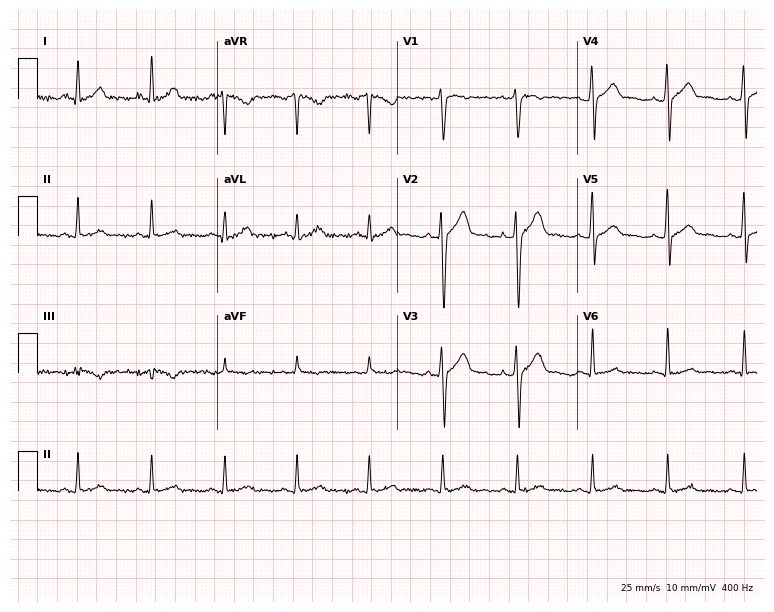
12-lead ECG (7.3-second recording at 400 Hz) from a man, 39 years old. Screened for six findings — first-degree AV block, right bundle branch block, left bundle branch block, sinus bradycardia, atrial fibrillation, sinus tachycardia — none is recorded.